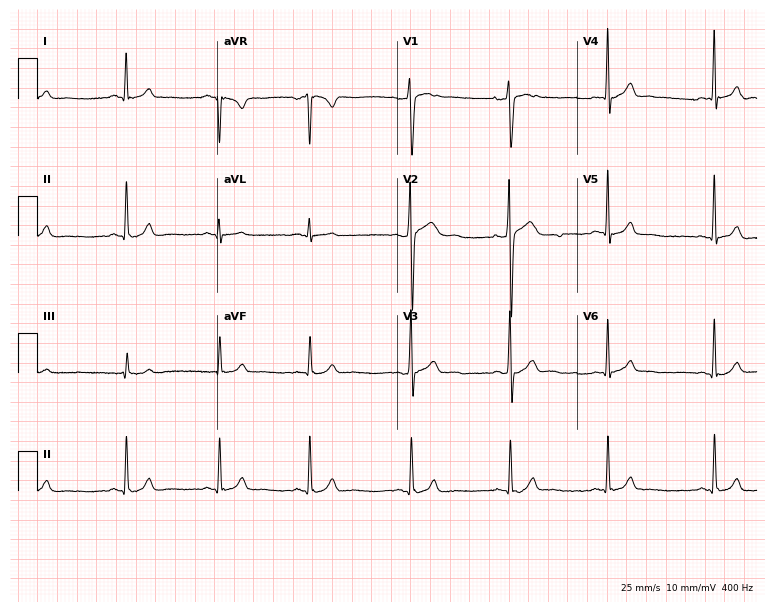
Resting 12-lead electrocardiogram (7.3-second recording at 400 Hz). Patient: a 29-year-old male. Read as a normal ECG.